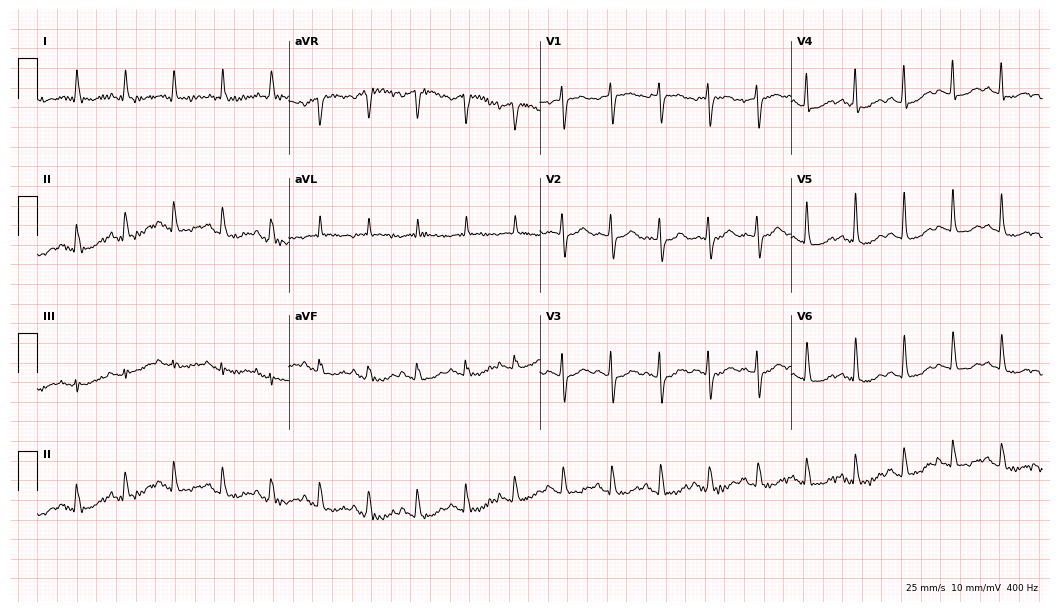
12-lead ECG (10.2-second recording at 400 Hz) from a 78-year-old female patient. Findings include sinus tachycardia (a sinus rate of 100 beats per minute or more).